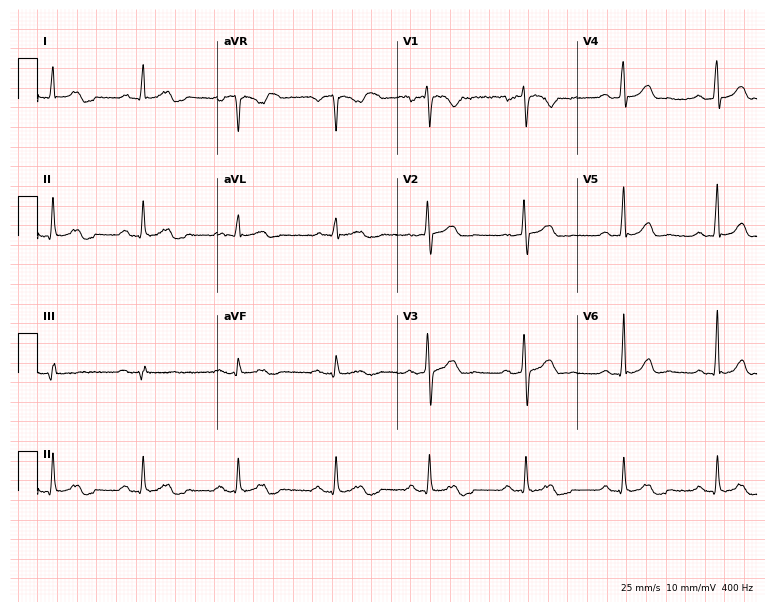
Standard 12-lead ECG recorded from a man, 45 years old (7.3-second recording at 400 Hz). Read as a normal ECG.